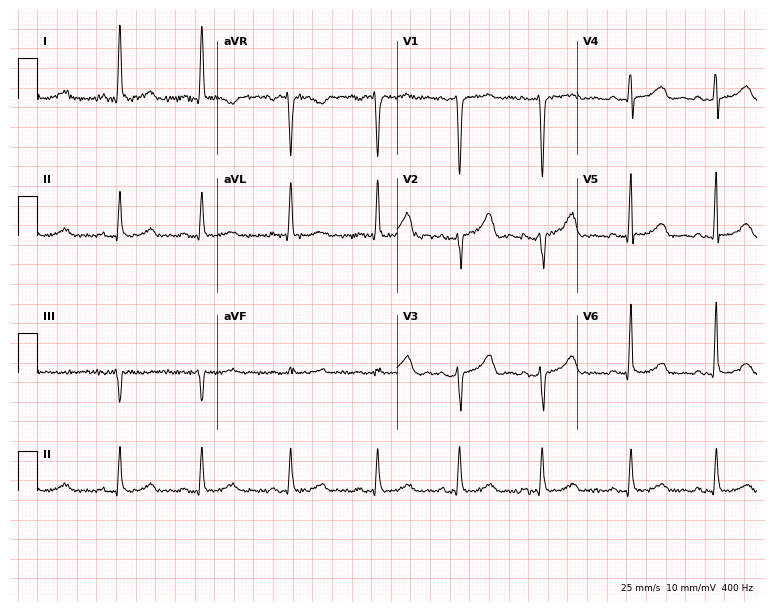
Resting 12-lead electrocardiogram. Patient: a female, 48 years old. Read as a normal ECG.